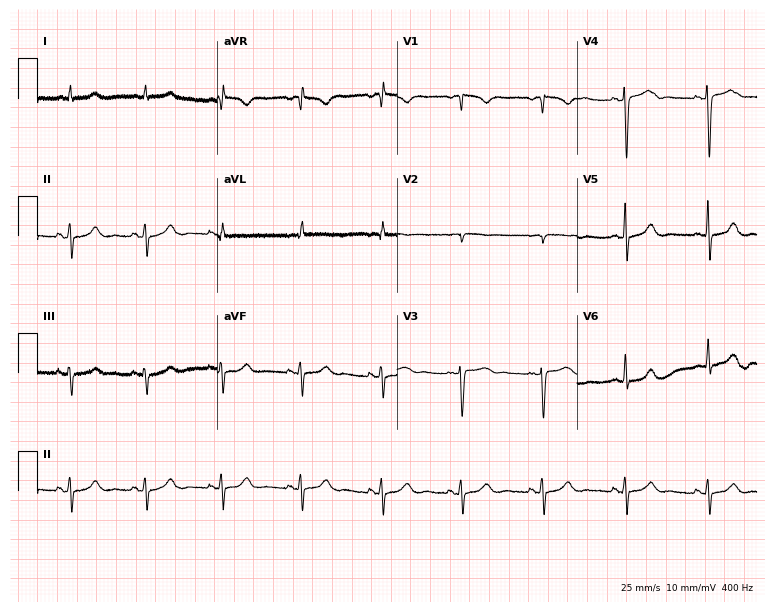
Standard 12-lead ECG recorded from a 71-year-old woman. None of these six findings is recorded: first-degree AV block, right bundle branch block (RBBB), left bundle branch block (LBBB), sinus bradycardia, atrial fibrillation (AF), sinus tachycardia. Only these six findings were labelled.